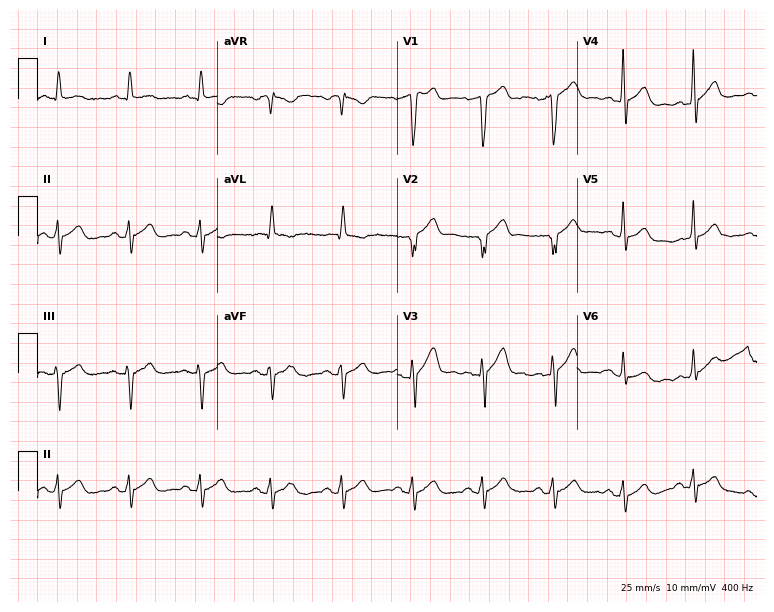
Resting 12-lead electrocardiogram. Patient: a 65-year-old man. None of these six findings is recorded: first-degree AV block, right bundle branch block, left bundle branch block, sinus bradycardia, atrial fibrillation, sinus tachycardia. Findings outside these six are not listed.